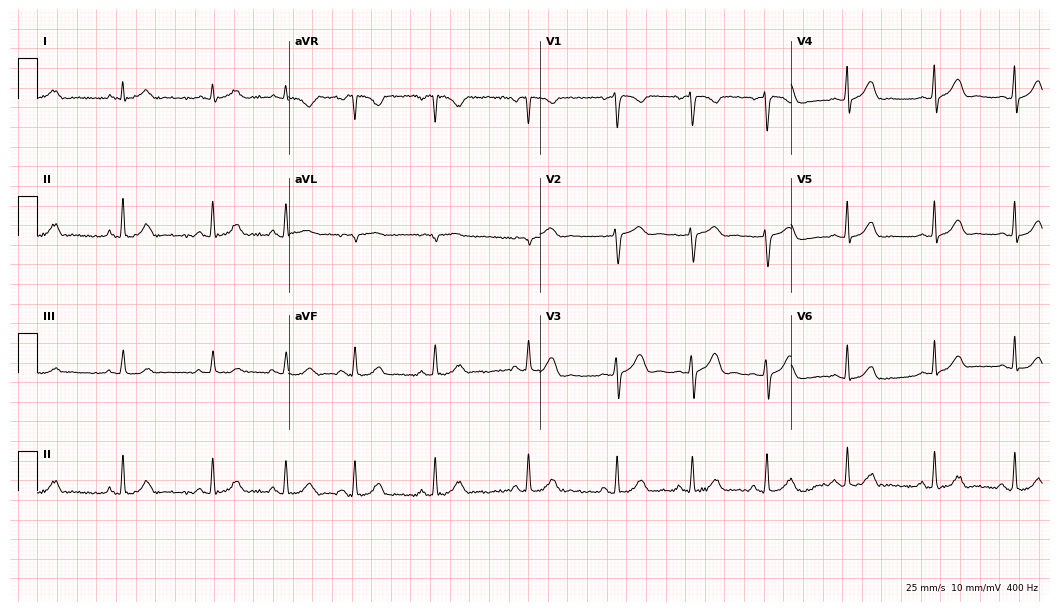
Electrocardiogram, a woman, 23 years old. Overall reading on record: normal ECG.